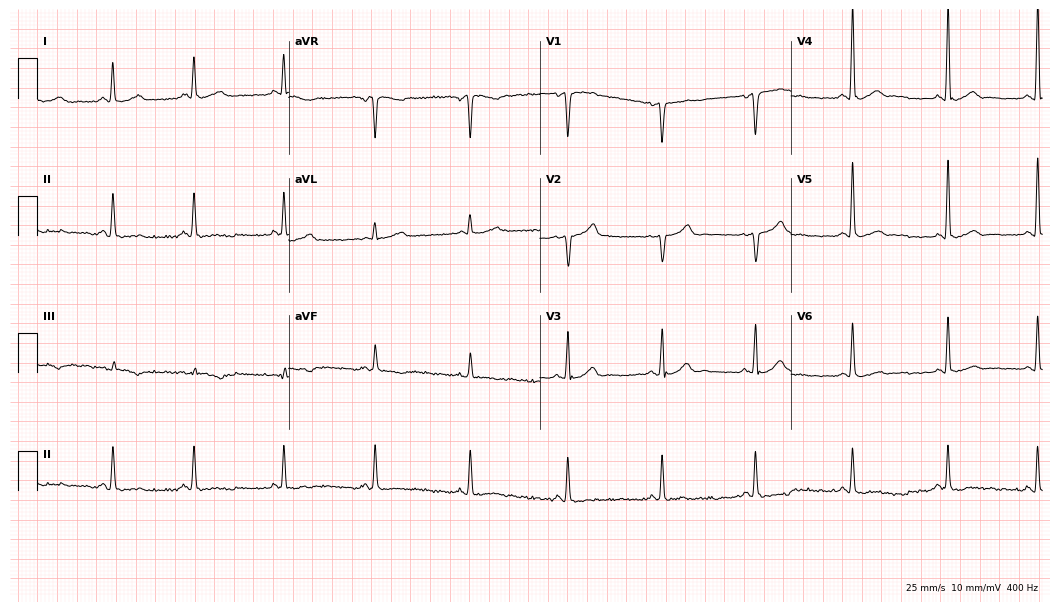
ECG — a 49-year-old male patient. Screened for six findings — first-degree AV block, right bundle branch block, left bundle branch block, sinus bradycardia, atrial fibrillation, sinus tachycardia — none is recorded.